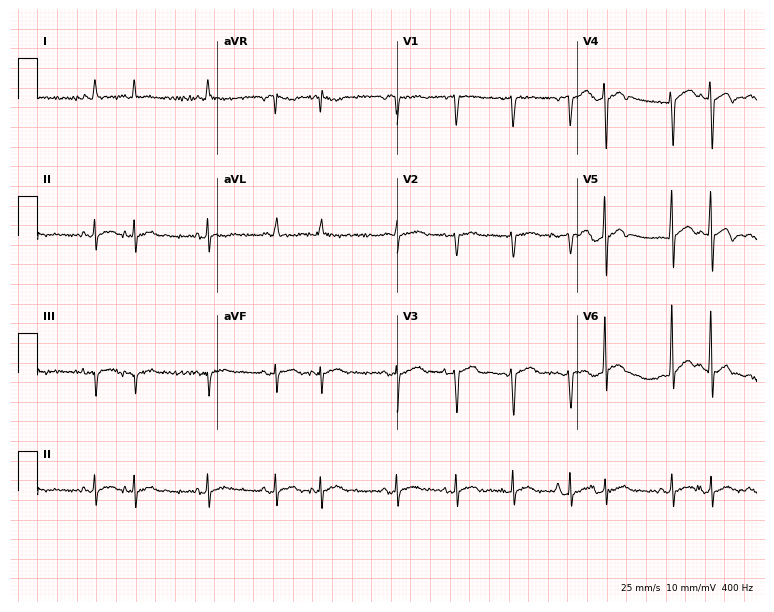
ECG (7.3-second recording at 400 Hz) — a female patient, 83 years old. Screened for six findings — first-degree AV block, right bundle branch block, left bundle branch block, sinus bradycardia, atrial fibrillation, sinus tachycardia — none is recorded. Findings outside these six are not listed.